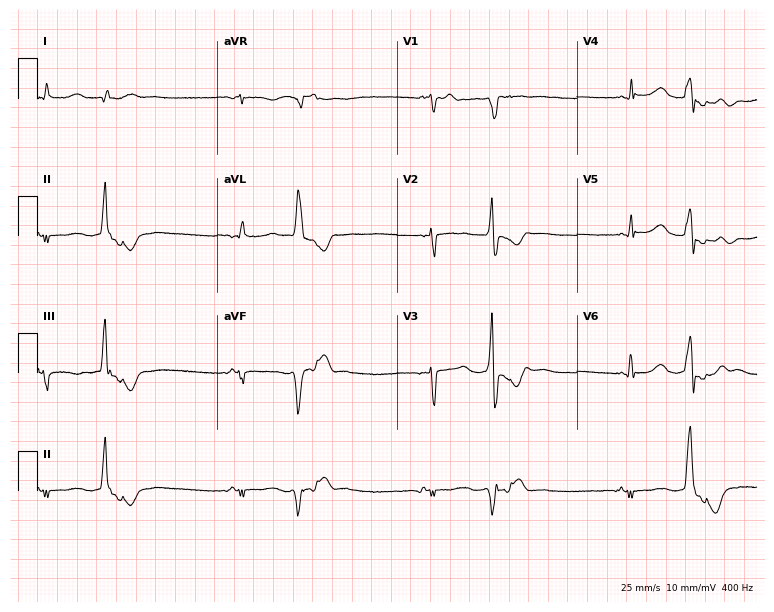
Resting 12-lead electrocardiogram. Patient: a 54-year-old woman. None of these six findings is recorded: first-degree AV block, right bundle branch block (RBBB), left bundle branch block (LBBB), sinus bradycardia, atrial fibrillation (AF), sinus tachycardia. Only these six findings were labelled.